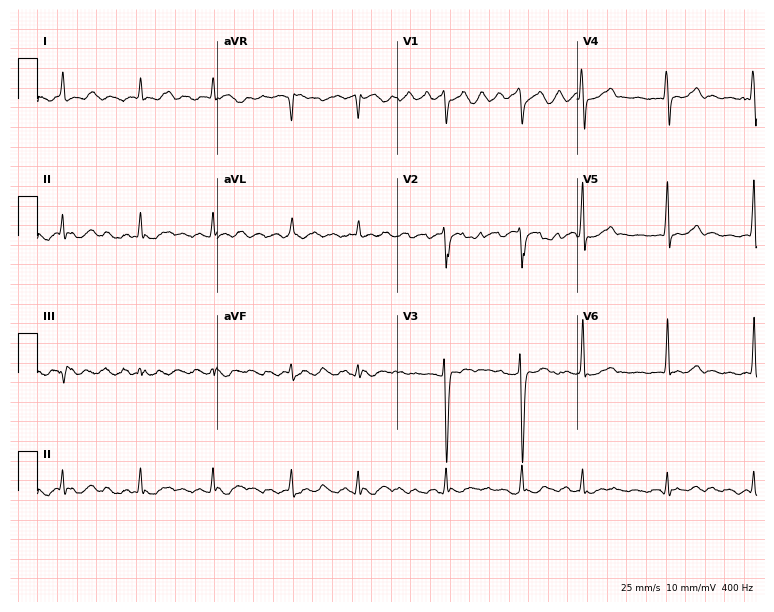
12-lead ECG from a 47-year-old female (7.3-second recording at 400 Hz). Shows atrial fibrillation.